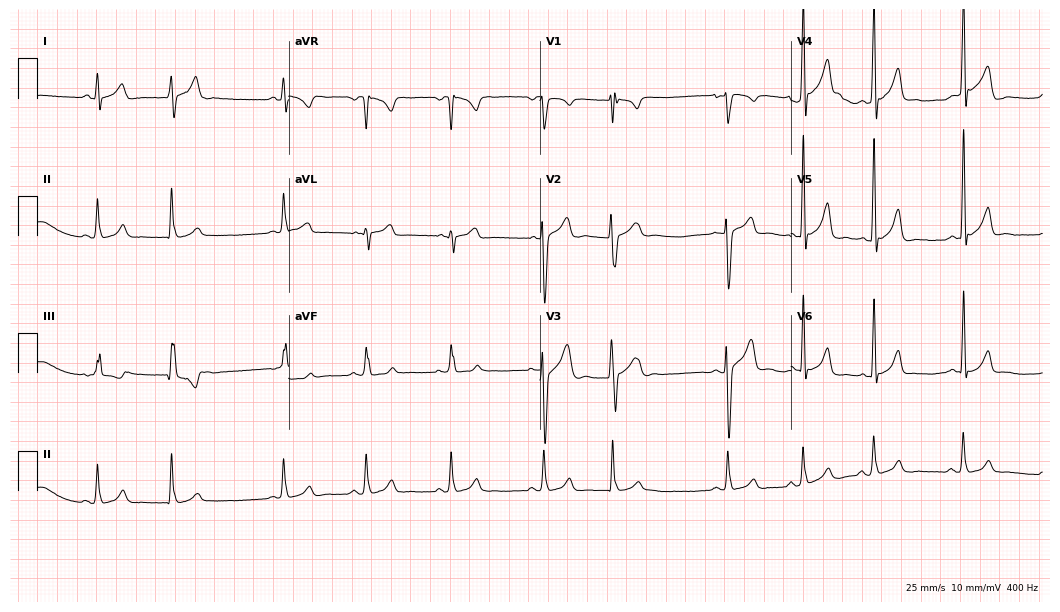
12-lead ECG (10.2-second recording at 400 Hz) from a male, 19 years old. Screened for six findings — first-degree AV block, right bundle branch block (RBBB), left bundle branch block (LBBB), sinus bradycardia, atrial fibrillation (AF), sinus tachycardia — none is recorded. Findings outside these six are not listed.